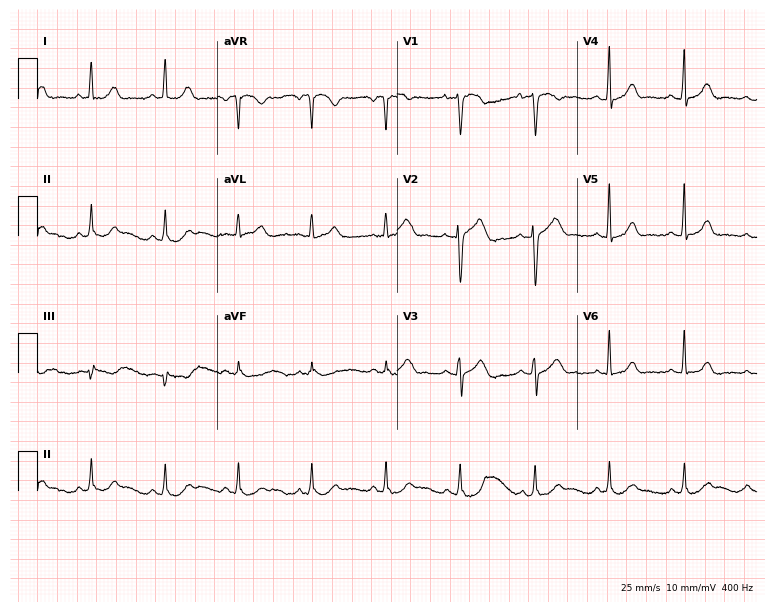
ECG (7.3-second recording at 400 Hz) — a 32-year-old female. Labelled as a normal ECG.